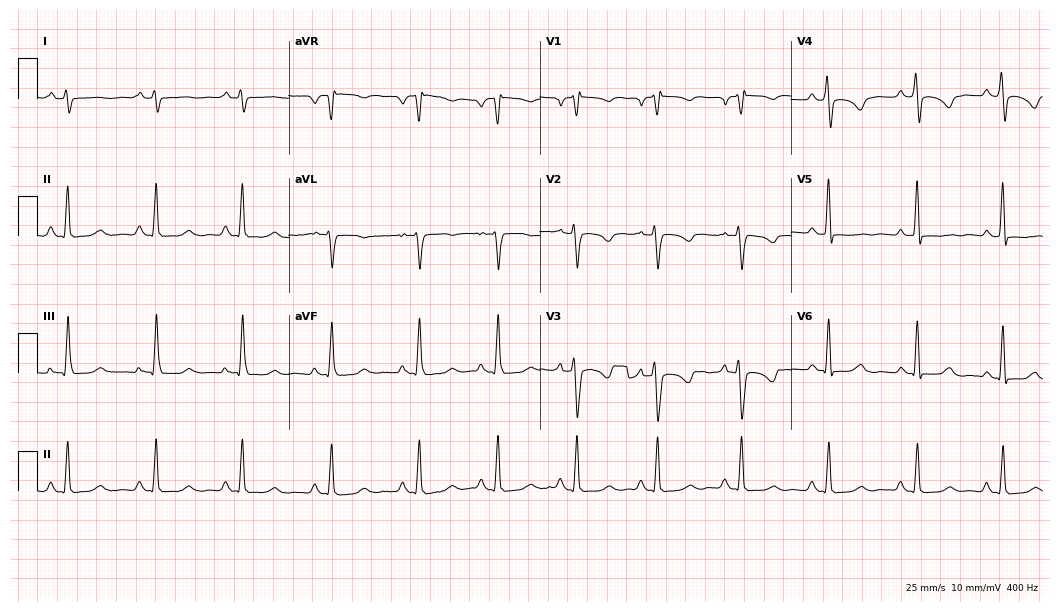
12-lead ECG from a woman, 28 years old. Screened for six findings — first-degree AV block, right bundle branch block (RBBB), left bundle branch block (LBBB), sinus bradycardia, atrial fibrillation (AF), sinus tachycardia — none is recorded. Only these six findings were labelled.